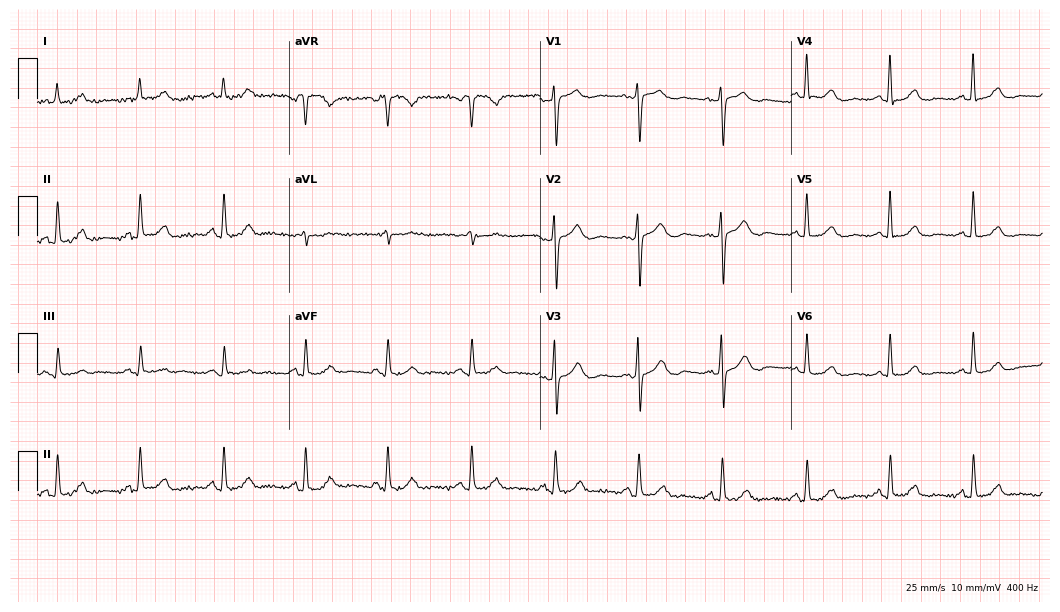
12-lead ECG from a female, 66 years old. Labelled as a normal ECG.